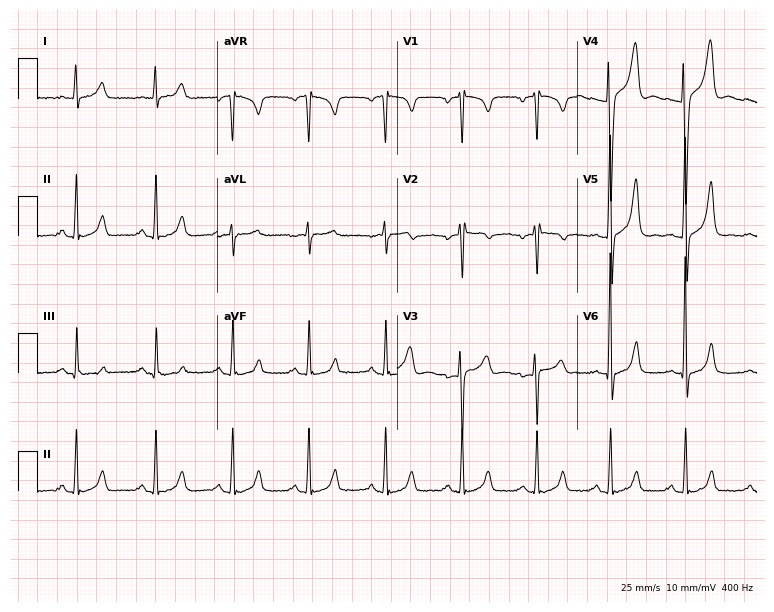
12-lead ECG from a male, 22 years old. No first-degree AV block, right bundle branch block, left bundle branch block, sinus bradycardia, atrial fibrillation or sinus tachycardia recorded for this tracing.